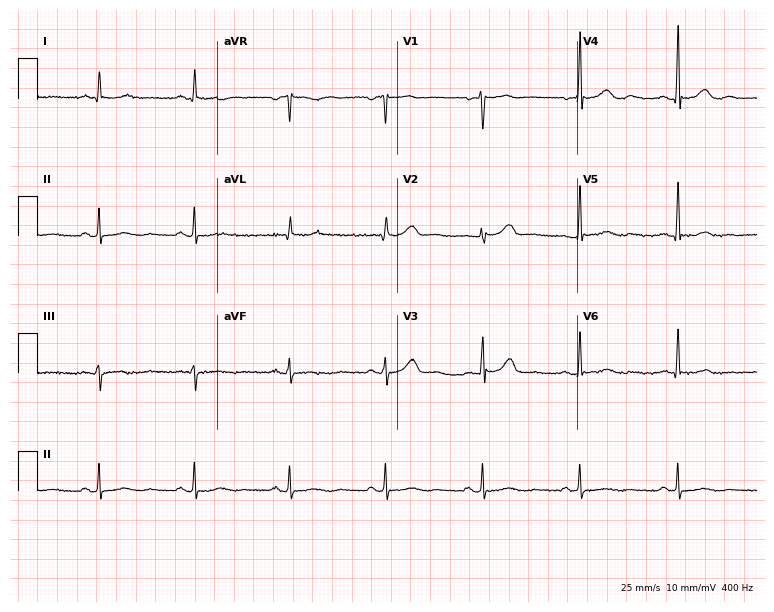
12-lead ECG (7.3-second recording at 400 Hz) from a woman, 63 years old. Screened for six findings — first-degree AV block, right bundle branch block (RBBB), left bundle branch block (LBBB), sinus bradycardia, atrial fibrillation (AF), sinus tachycardia — none is recorded. Other findings, if any, are not listed.